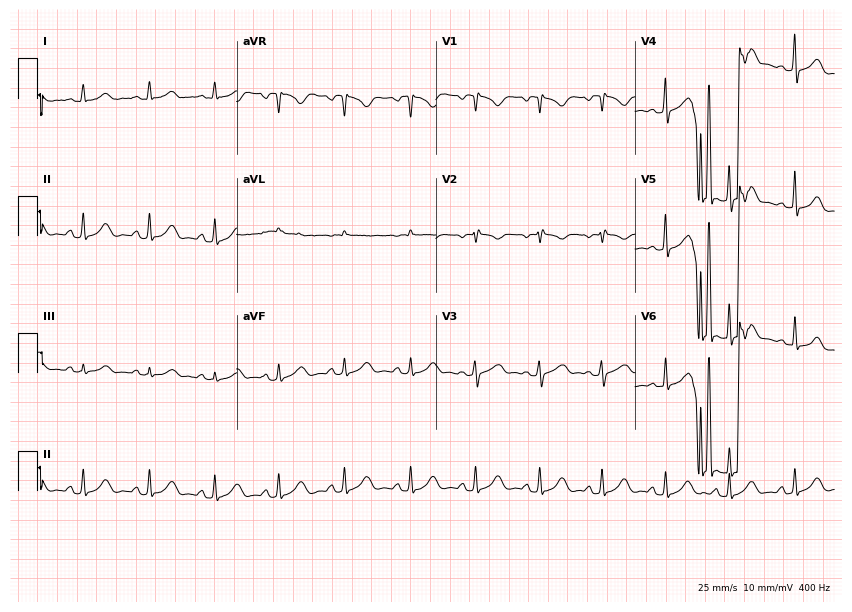
Resting 12-lead electrocardiogram. Patient: a 29-year-old female. Read as a normal ECG.